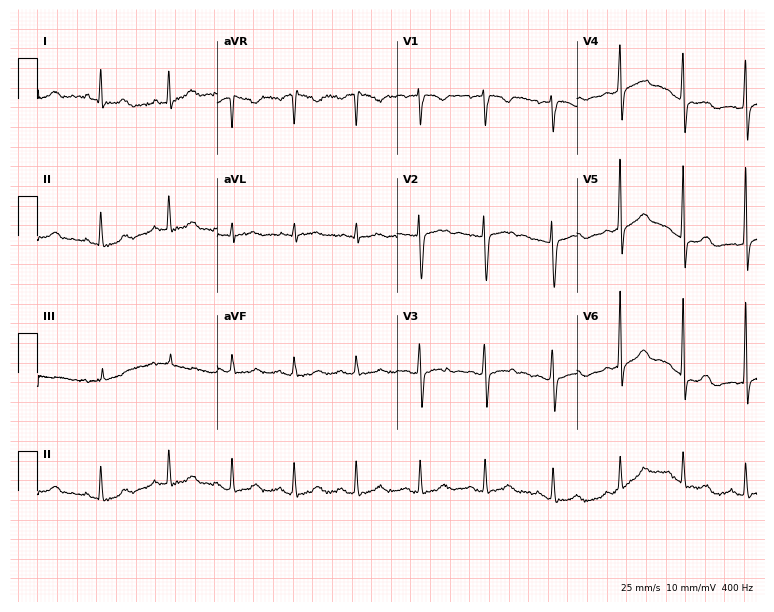
ECG (7.3-second recording at 400 Hz) — a woman, 39 years old. Screened for six findings — first-degree AV block, right bundle branch block, left bundle branch block, sinus bradycardia, atrial fibrillation, sinus tachycardia — none is recorded. Findings outside these six are not listed.